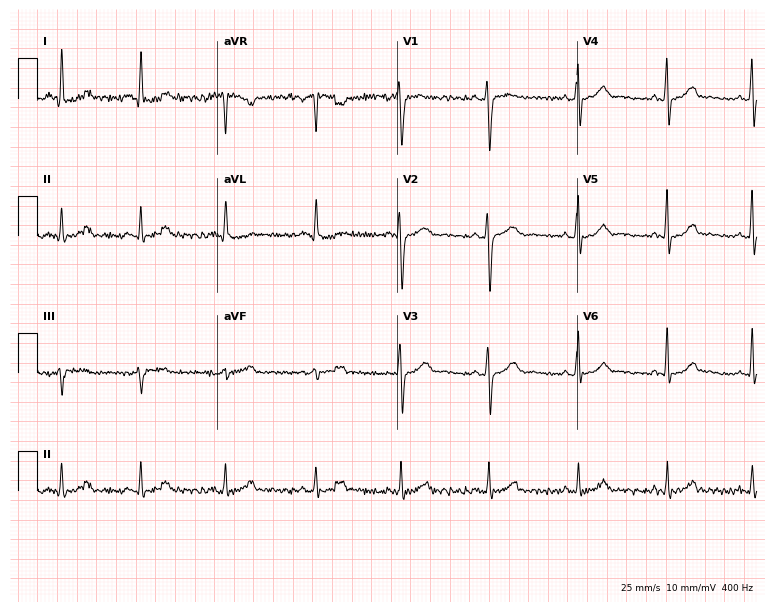
Electrocardiogram, a 19-year-old female patient. Overall reading on record: normal ECG.